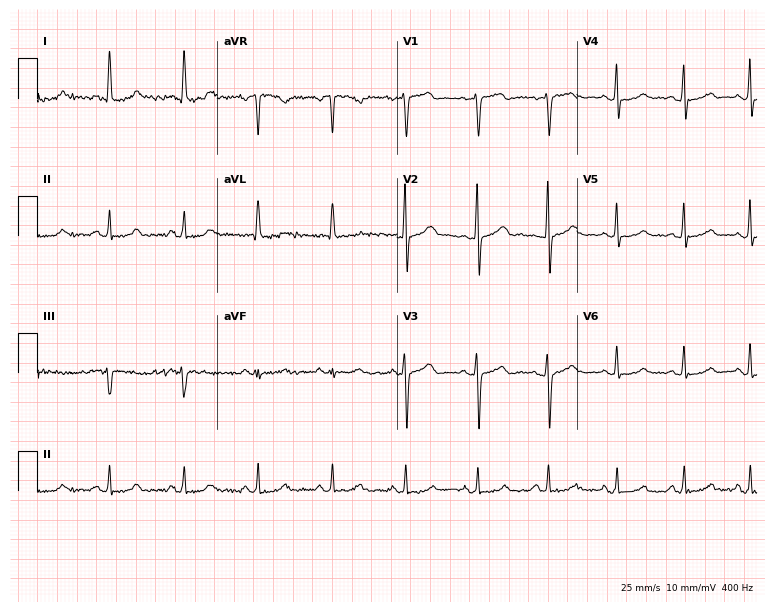
ECG — a 53-year-old female patient. Screened for six findings — first-degree AV block, right bundle branch block (RBBB), left bundle branch block (LBBB), sinus bradycardia, atrial fibrillation (AF), sinus tachycardia — none is recorded.